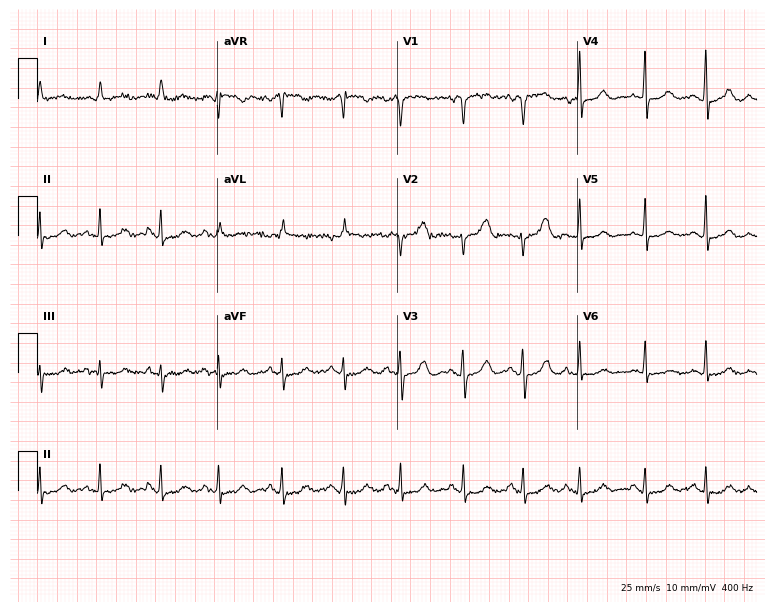
Standard 12-lead ECG recorded from an 82-year-old female patient. Read as a normal ECG.